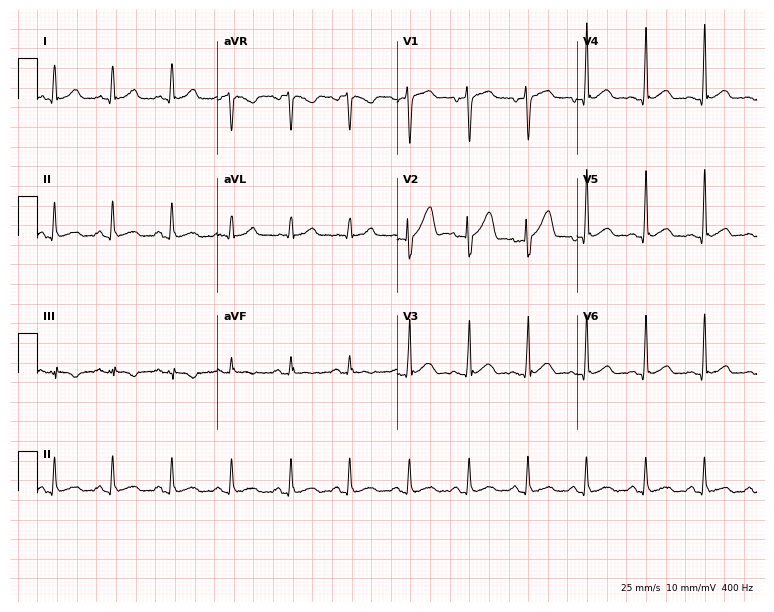
ECG (7.3-second recording at 400 Hz) — a male, 41 years old. Labelled as a normal ECG.